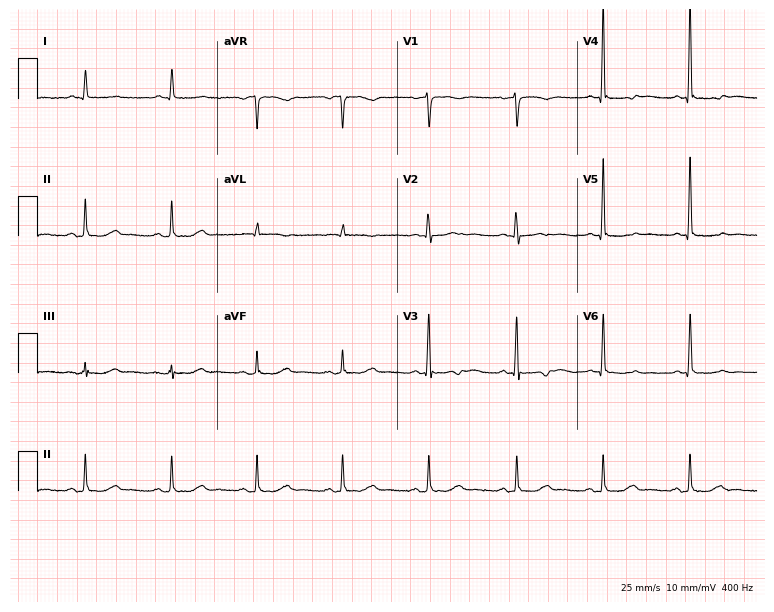
Electrocardiogram (7.3-second recording at 400 Hz), an 80-year-old female patient. Of the six screened findings (first-degree AV block, right bundle branch block (RBBB), left bundle branch block (LBBB), sinus bradycardia, atrial fibrillation (AF), sinus tachycardia), none is recorded. Only these six findings were labelled.